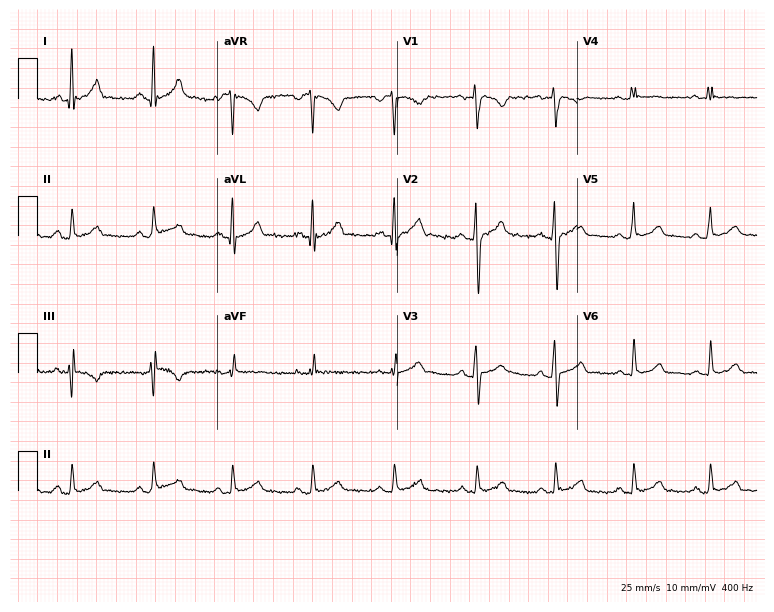
Standard 12-lead ECG recorded from a male, 29 years old (7.3-second recording at 400 Hz). Read as a normal ECG.